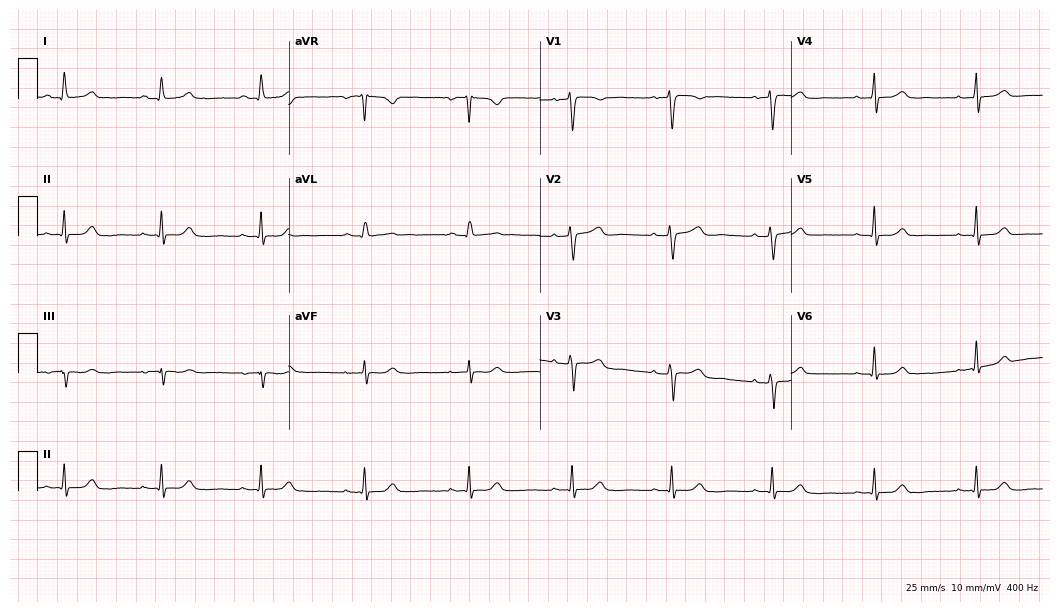
Standard 12-lead ECG recorded from a 51-year-old female. None of these six findings is recorded: first-degree AV block, right bundle branch block, left bundle branch block, sinus bradycardia, atrial fibrillation, sinus tachycardia.